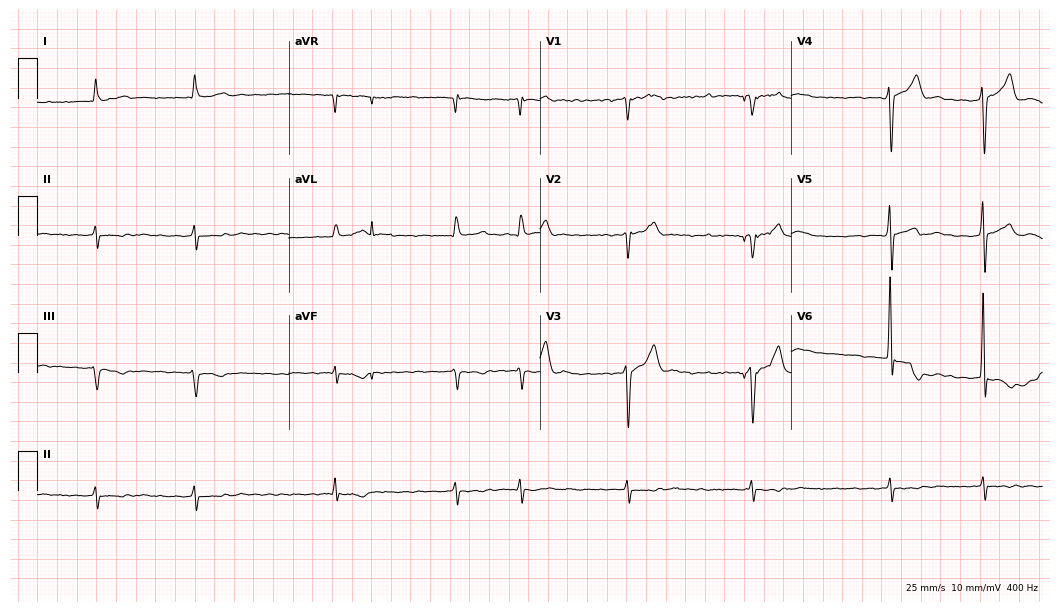
Standard 12-lead ECG recorded from a 76-year-old male patient (10.2-second recording at 400 Hz). The tracing shows atrial fibrillation.